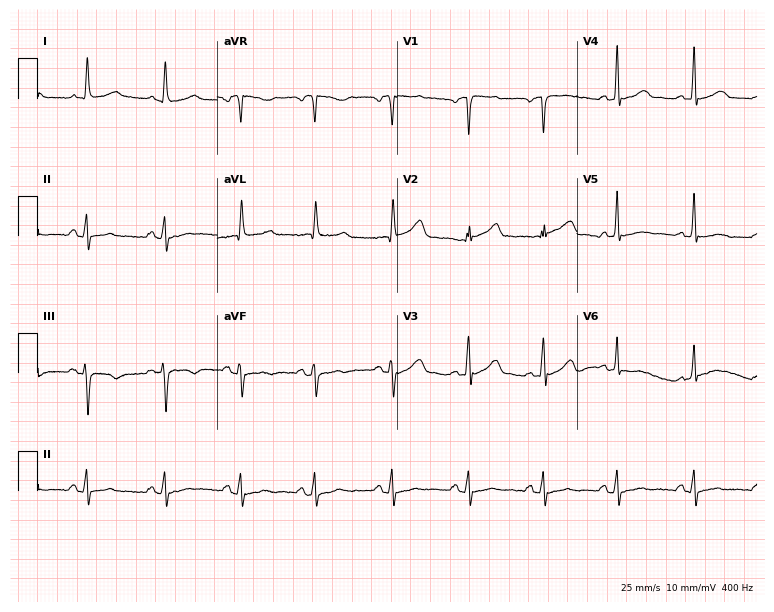
12-lead ECG (7.3-second recording at 400 Hz) from a female, 67 years old. Screened for six findings — first-degree AV block, right bundle branch block, left bundle branch block, sinus bradycardia, atrial fibrillation, sinus tachycardia — none is recorded.